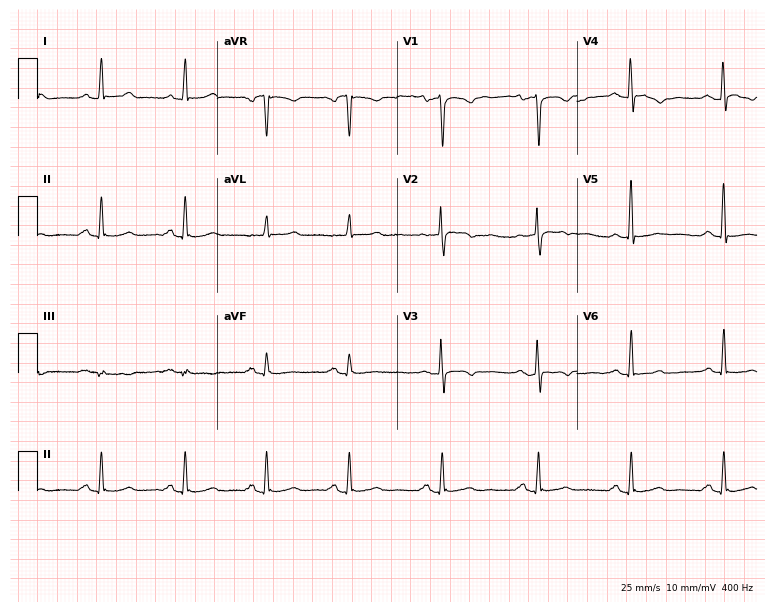
Electrocardiogram (7.3-second recording at 400 Hz), a female patient, 45 years old. Overall reading on record: normal ECG.